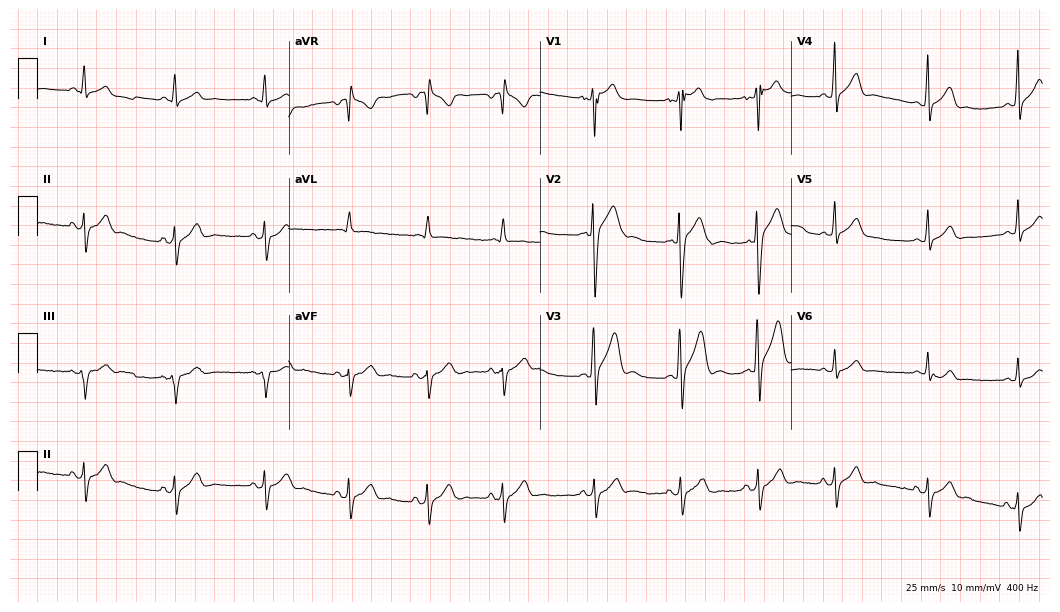
12-lead ECG from a 19-year-old male. Screened for six findings — first-degree AV block, right bundle branch block, left bundle branch block, sinus bradycardia, atrial fibrillation, sinus tachycardia — none is recorded.